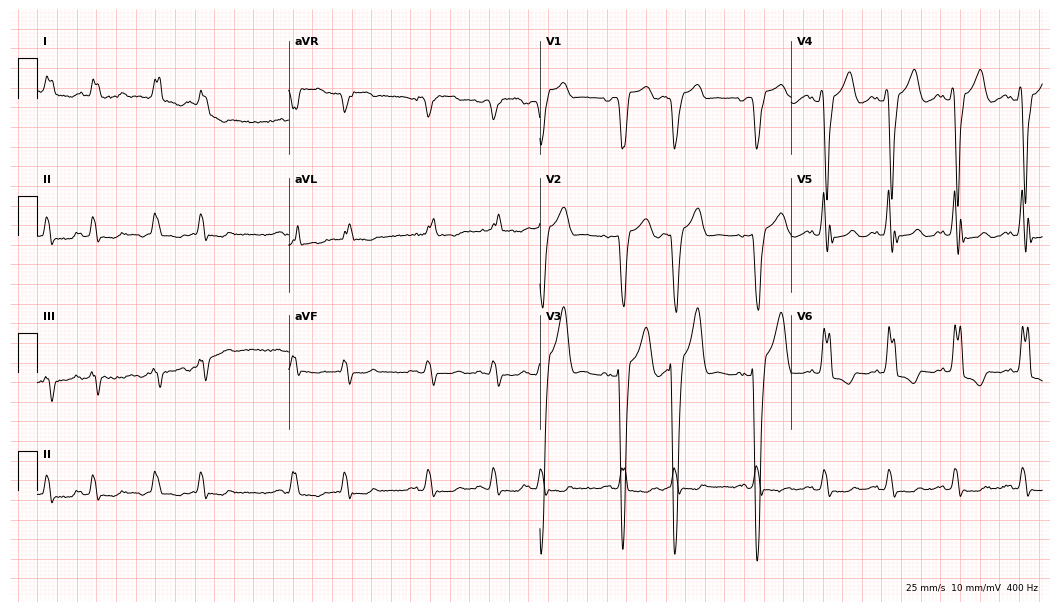
12-lead ECG from a male, 74 years old. Shows left bundle branch block (LBBB).